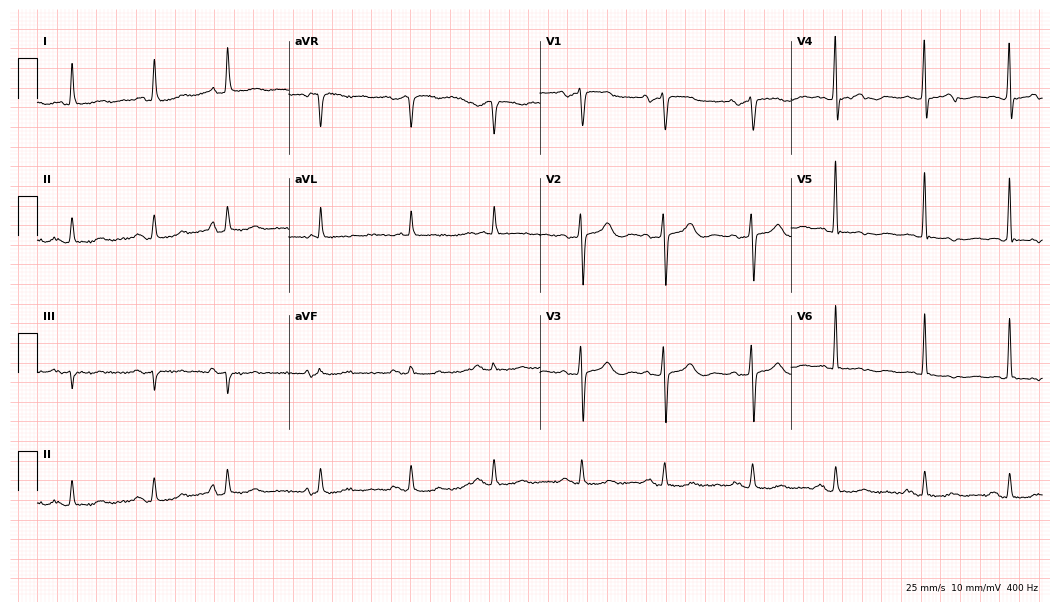
Standard 12-lead ECG recorded from an 85-year-old female (10.2-second recording at 400 Hz). Read as a normal ECG.